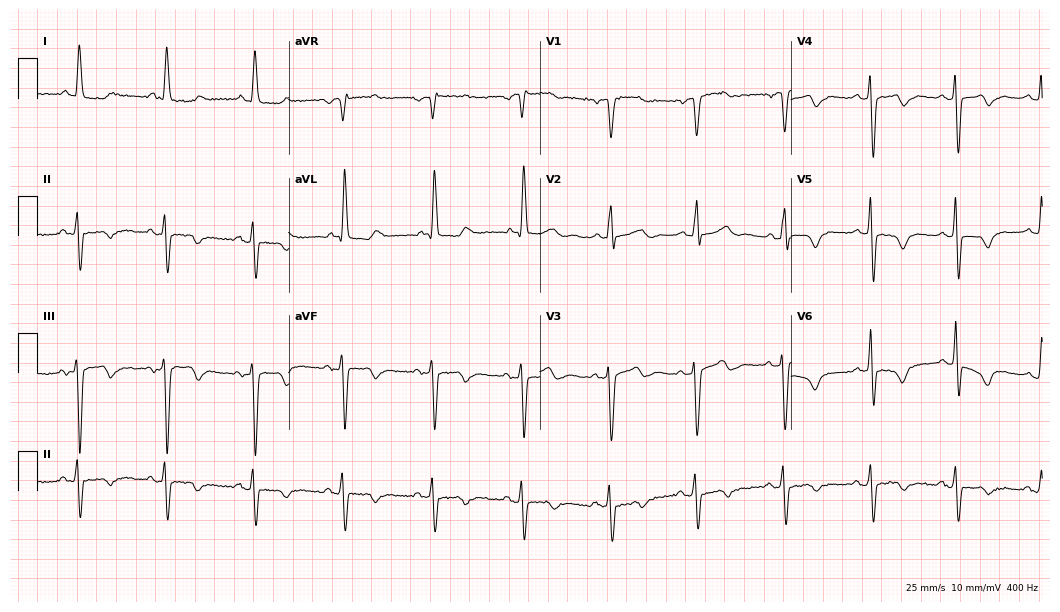
12-lead ECG from a woman, 81 years old. Screened for six findings — first-degree AV block, right bundle branch block, left bundle branch block, sinus bradycardia, atrial fibrillation, sinus tachycardia — none is recorded.